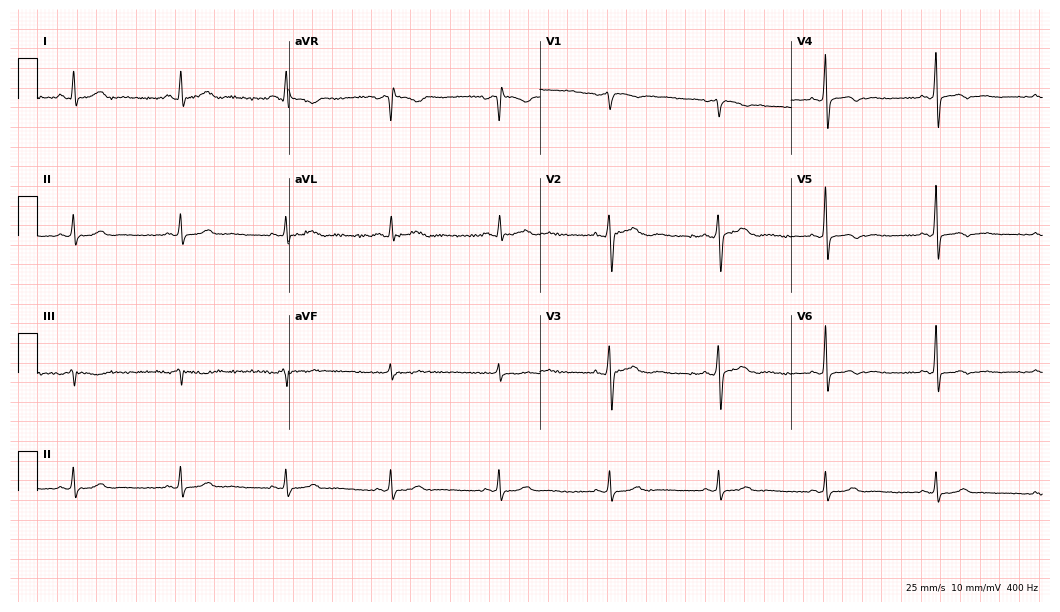
ECG — a female, 48 years old. Screened for six findings — first-degree AV block, right bundle branch block, left bundle branch block, sinus bradycardia, atrial fibrillation, sinus tachycardia — none is recorded. Only these six findings were labelled.